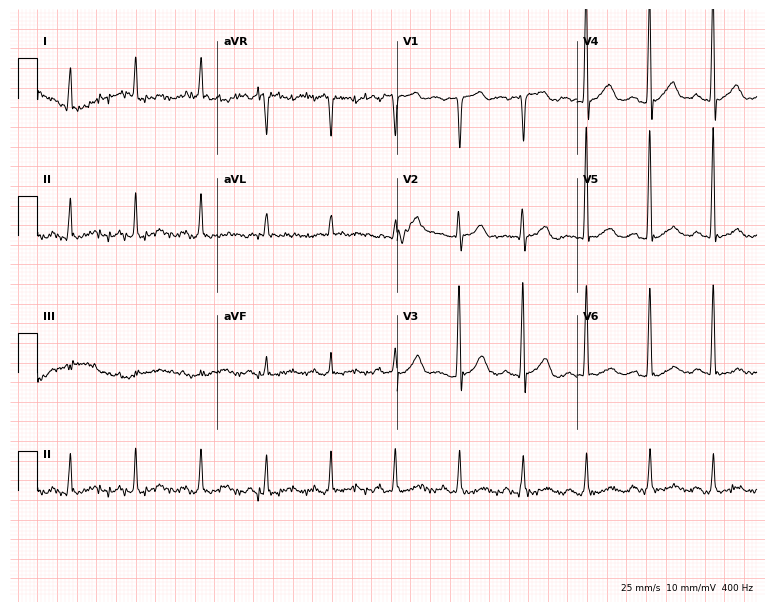
12-lead ECG from a 65-year-old male (7.3-second recording at 400 Hz). No first-degree AV block, right bundle branch block, left bundle branch block, sinus bradycardia, atrial fibrillation or sinus tachycardia recorded for this tracing. Other findings, if any, are not listed.